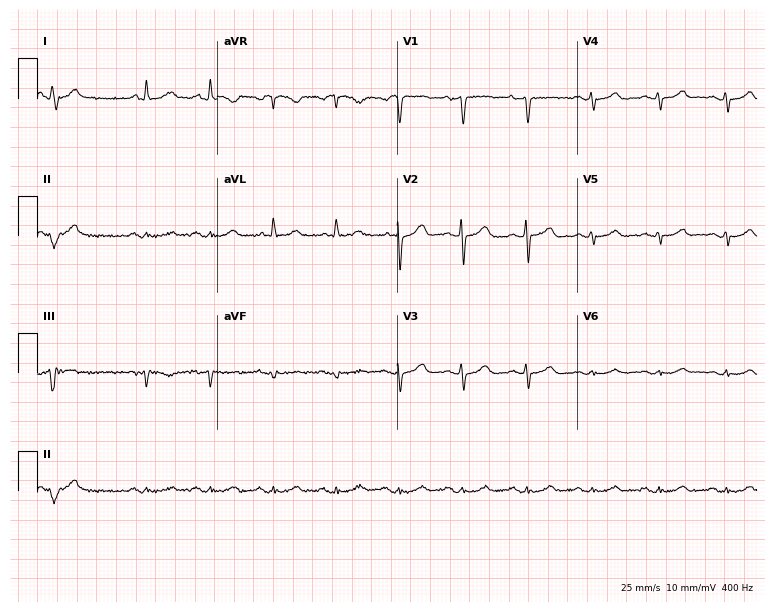
Resting 12-lead electrocardiogram (7.3-second recording at 400 Hz). Patient: an 80-year-old man. None of these six findings is recorded: first-degree AV block, right bundle branch block, left bundle branch block, sinus bradycardia, atrial fibrillation, sinus tachycardia. Other findings, if any, are not listed.